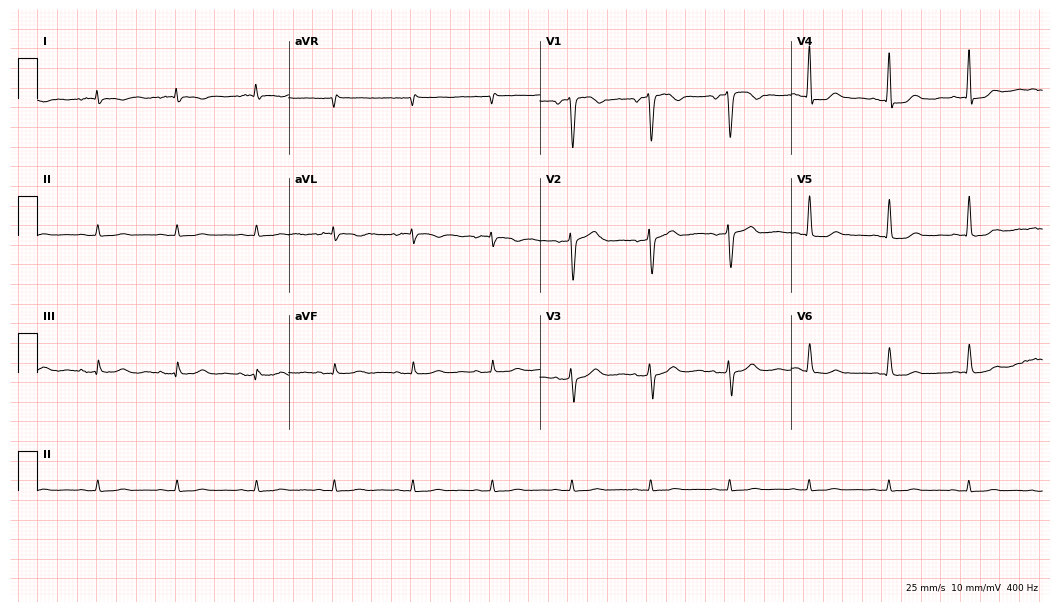
12-lead ECG from a female, 63 years old (10.2-second recording at 400 Hz). No first-degree AV block, right bundle branch block (RBBB), left bundle branch block (LBBB), sinus bradycardia, atrial fibrillation (AF) or sinus tachycardia recorded for this tracing.